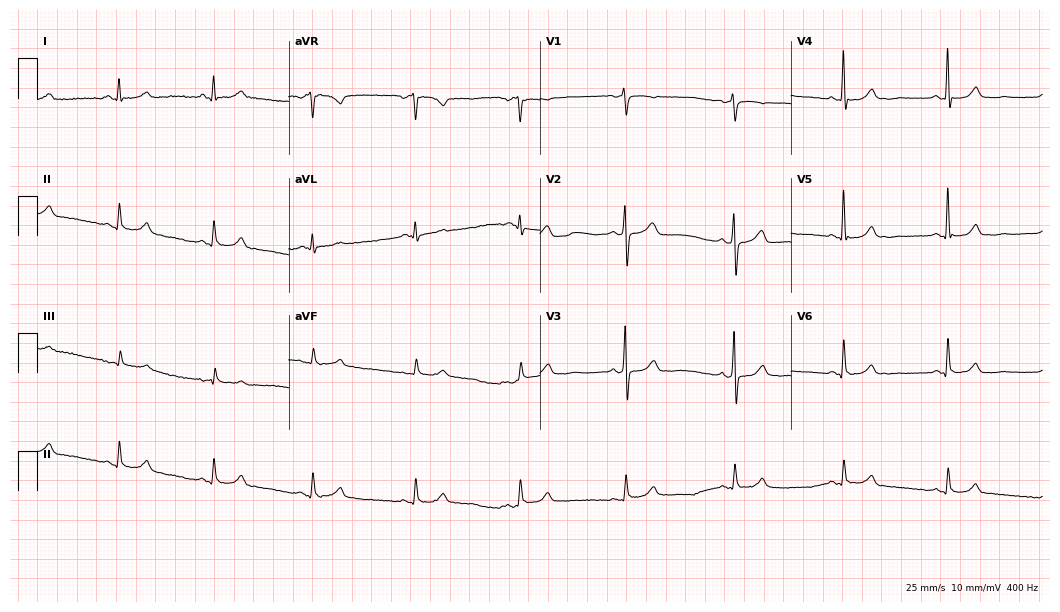
12-lead ECG from an 80-year-old male patient. Recorded interpretation: within normal limits.